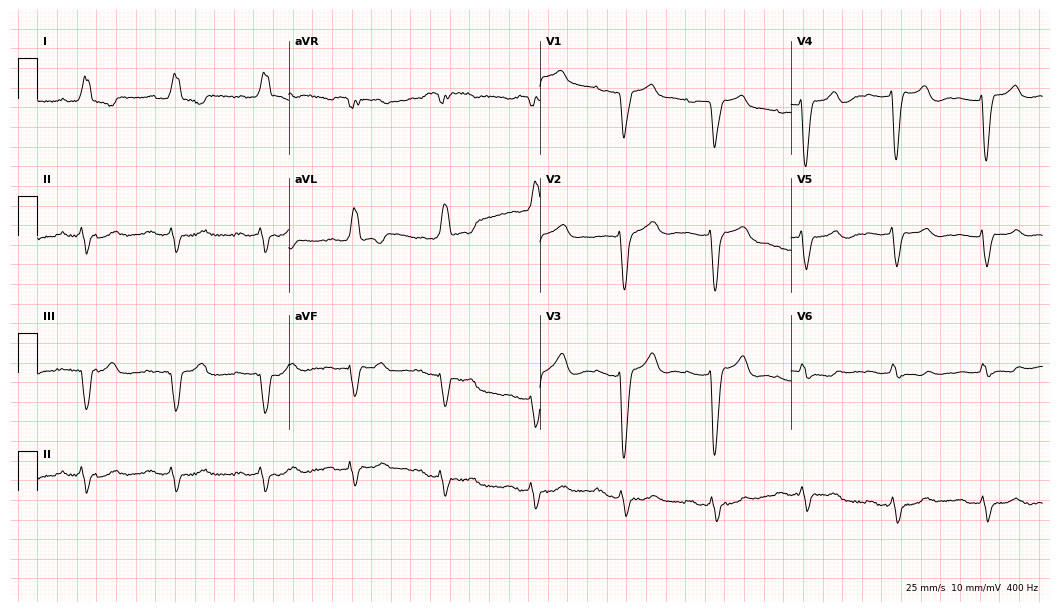
12-lead ECG from an 82-year-old female. Findings include first-degree AV block, left bundle branch block.